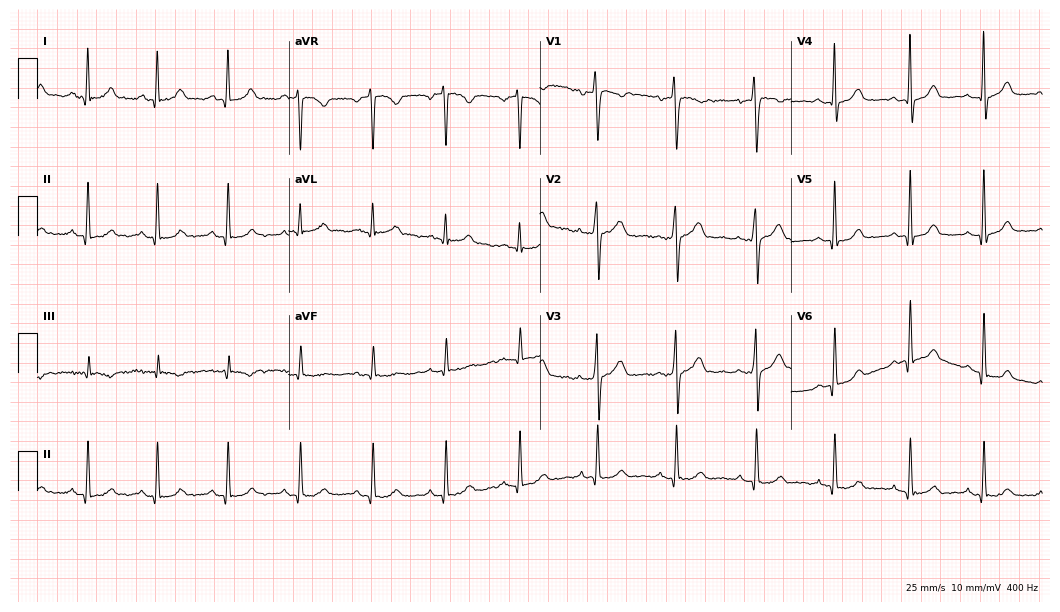
12-lead ECG from a woman, 35 years old. No first-degree AV block, right bundle branch block, left bundle branch block, sinus bradycardia, atrial fibrillation or sinus tachycardia recorded for this tracing.